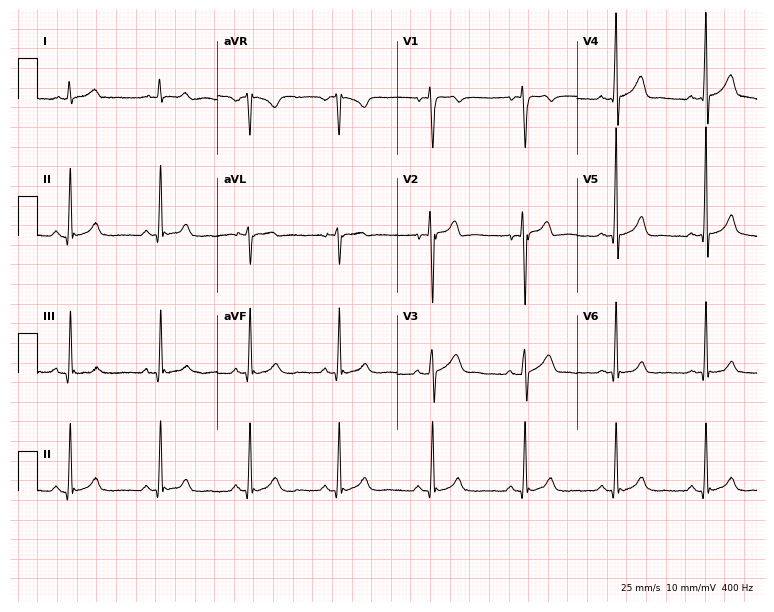
Electrocardiogram, a male, 27 years old. Overall reading on record: normal ECG.